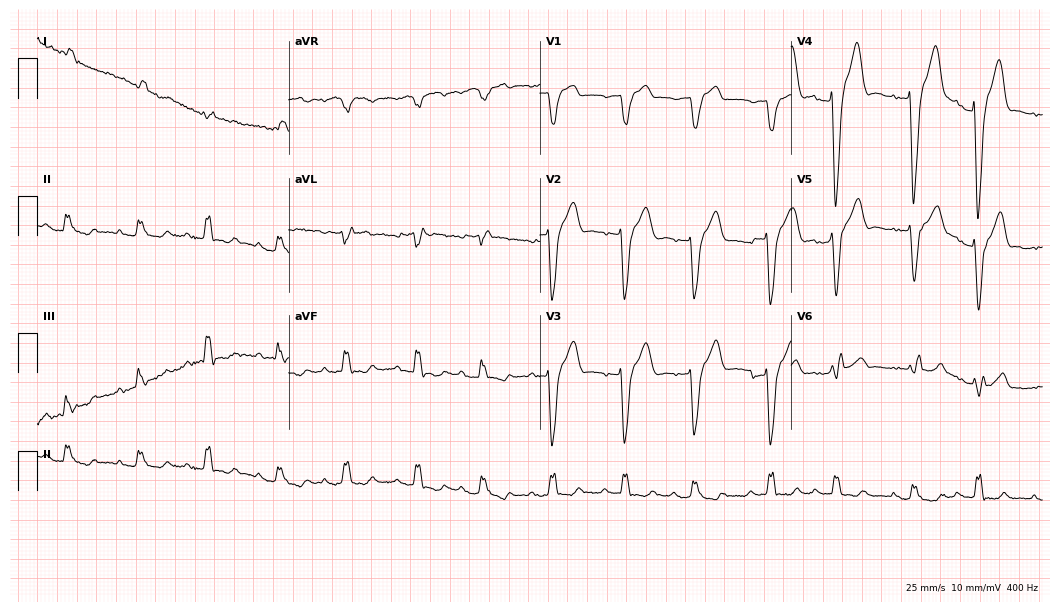
Electrocardiogram, a 75-year-old male. Interpretation includes left bundle branch block (LBBB).